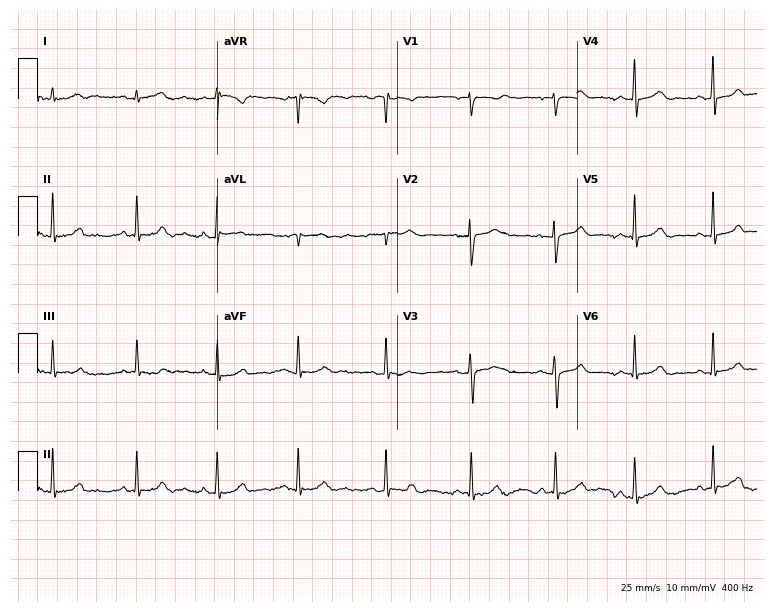
Resting 12-lead electrocardiogram (7.3-second recording at 400 Hz). Patient: an 18-year-old woman. None of these six findings is recorded: first-degree AV block, right bundle branch block, left bundle branch block, sinus bradycardia, atrial fibrillation, sinus tachycardia.